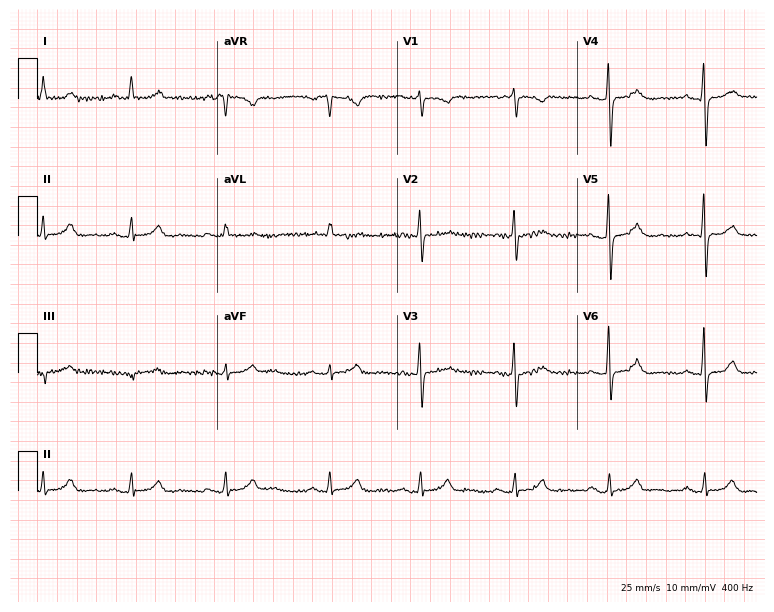
12-lead ECG from a 66-year-old female patient. Recorded interpretation: within normal limits.